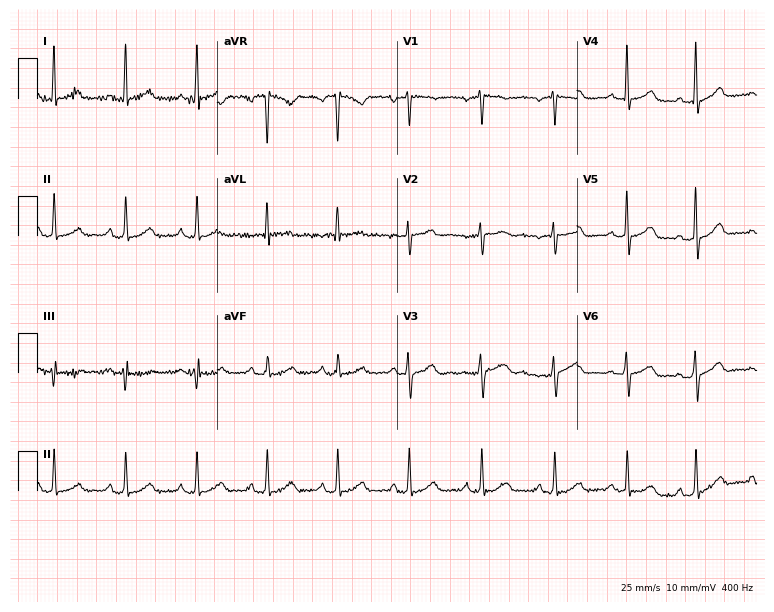
12-lead ECG from a female, 55 years old (7.3-second recording at 400 Hz). No first-degree AV block, right bundle branch block, left bundle branch block, sinus bradycardia, atrial fibrillation or sinus tachycardia recorded for this tracing. Findings outside these six are not listed.